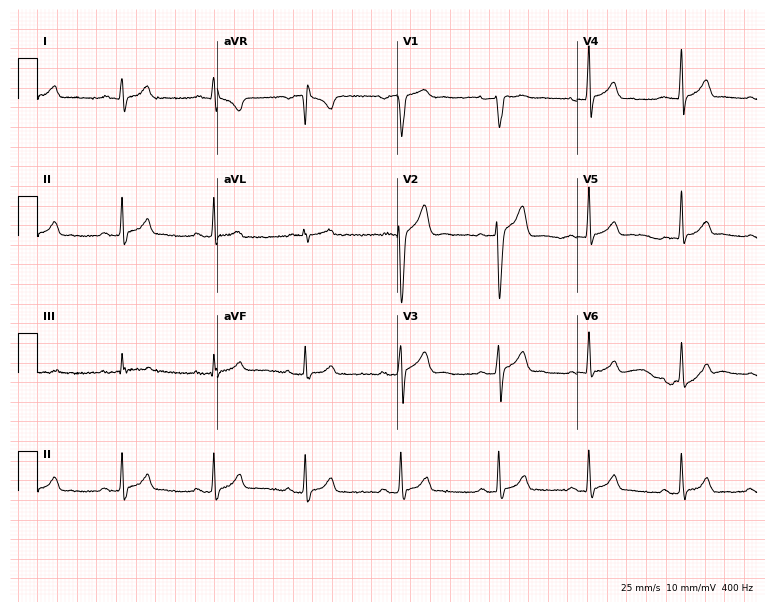
Standard 12-lead ECG recorded from a male, 26 years old. Read as a normal ECG.